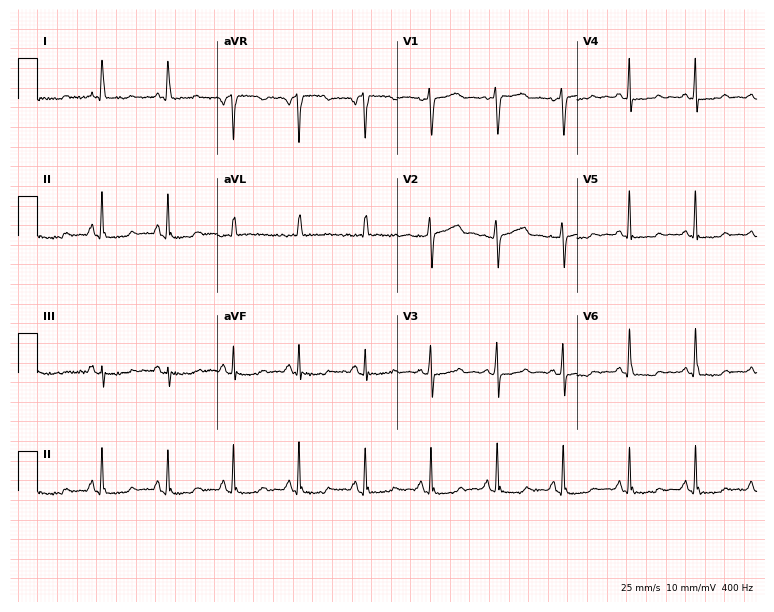
ECG (7.3-second recording at 400 Hz) — a 68-year-old female. Screened for six findings — first-degree AV block, right bundle branch block (RBBB), left bundle branch block (LBBB), sinus bradycardia, atrial fibrillation (AF), sinus tachycardia — none is recorded.